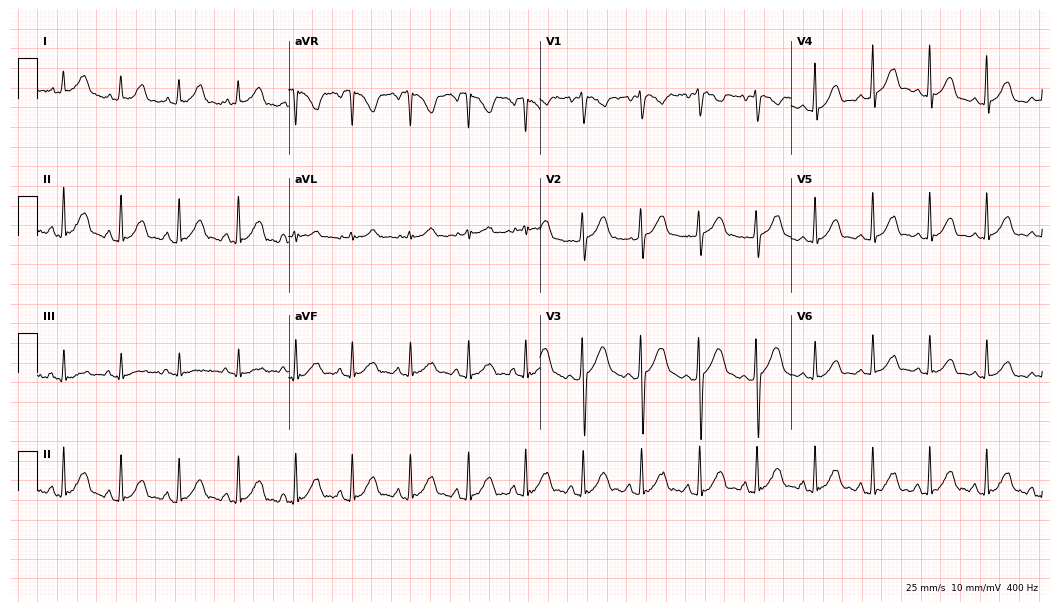
12-lead ECG (10.2-second recording at 400 Hz) from a 29-year-old female. Findings include sinus tachycardia (a sinus rate of 100 beats per minute or more).